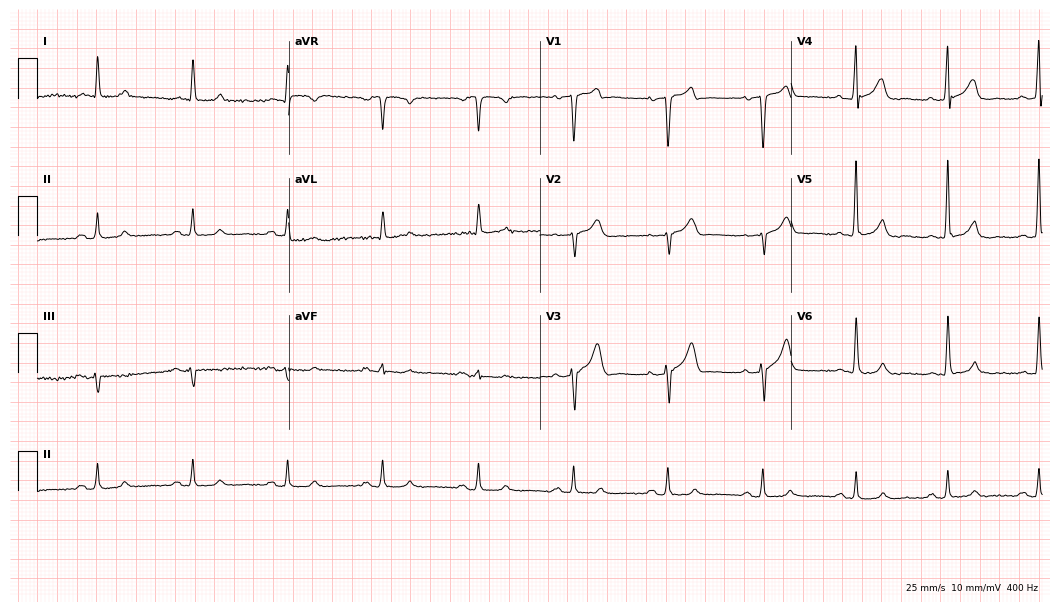
12-lead ECG from a 66-year-old man (10.2-second recording at 400 Hz). Recorded interpretation: within normal limits.